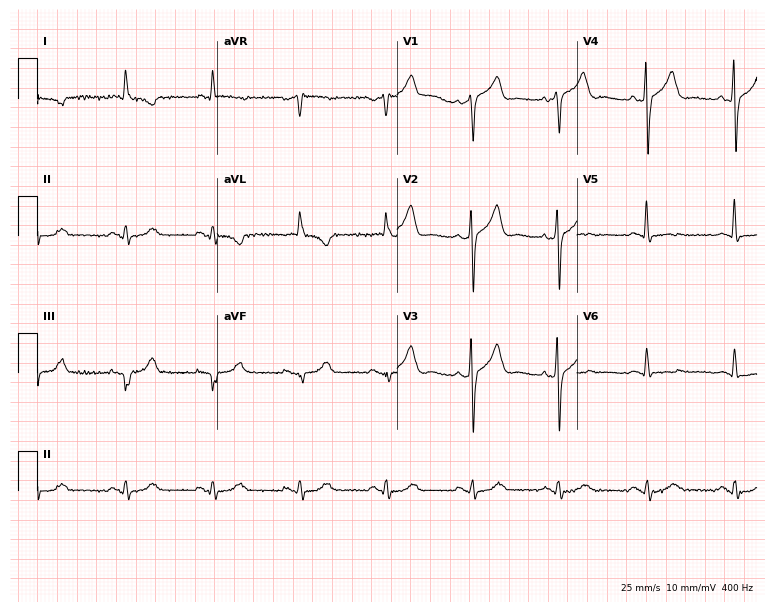
Standard 12-lead ECG recorded from a woman, 79 years old. None of these six findings is recorded: first-degree AV block, right bundle branch block, left bundle branch block, sinus bradycardia, atrial fibrillation, sinus tachycardia. Findings outside these six are not listed.